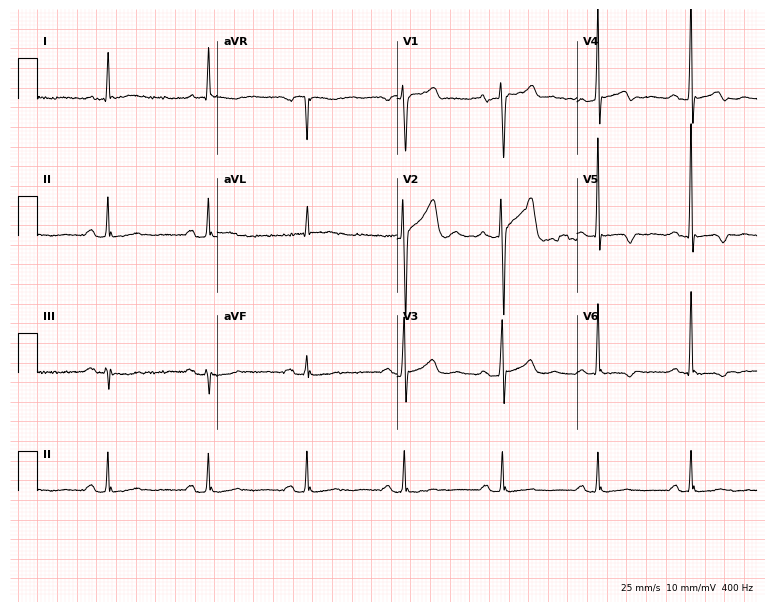
Electrocardiogram (7.3-second recording at 400 Hz), a male patient, 59 years old. Of the six screened findings (first-degree AV block, right bundle branch block (RBBB), left bundle branch block (LBBB), sinus bradycardia, atrial fibrillation (AF), sinus tachycardia), none is recorded.